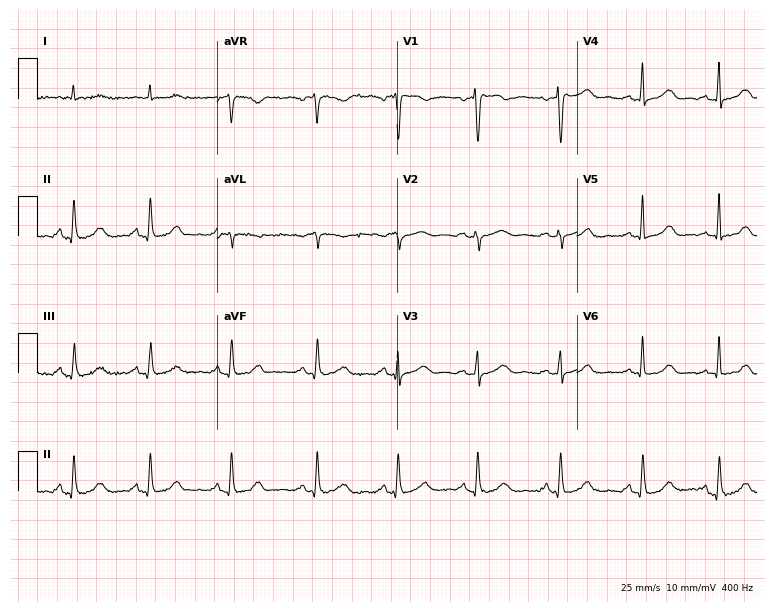
12-lead ECG from a 51-year-old woman (7.3-second recording at 400 Hz). Recorded interpretation: within normal limits.